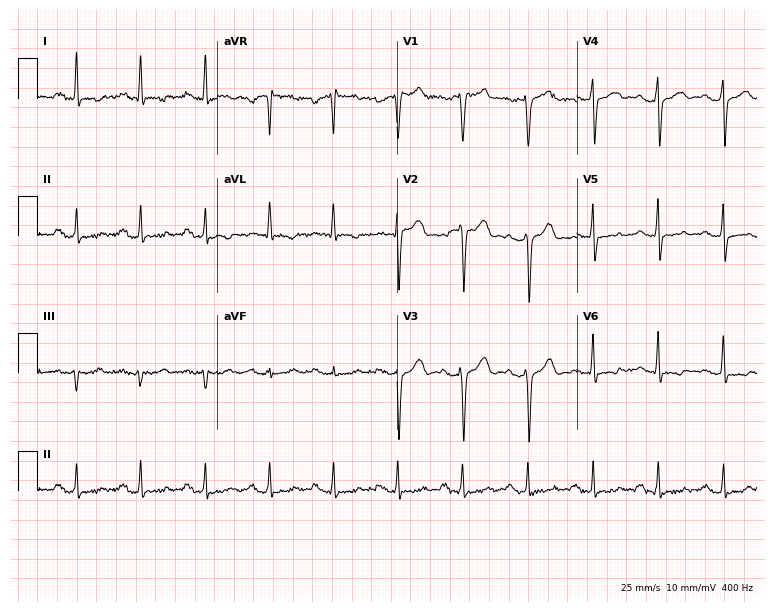
Electrocardiogram (7.3-second recording at 400 Hz), a 46-year-old man. Of the six screened findings (first-degree AV block, right bundle branch block (RBBB), left bundle branch block (LBBB), sinus bradycardia, atrial fibrillation (AF), sinus tachycardia), none is recorded.